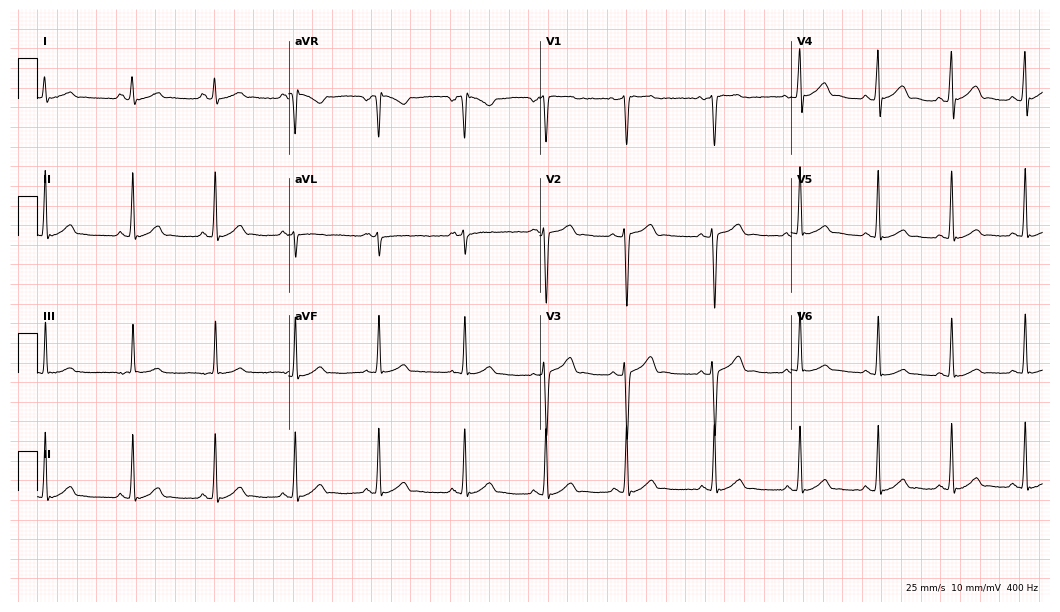
Standard 12-lead ECG recorded from a woman, 17 years old. Read as a normal ECG.